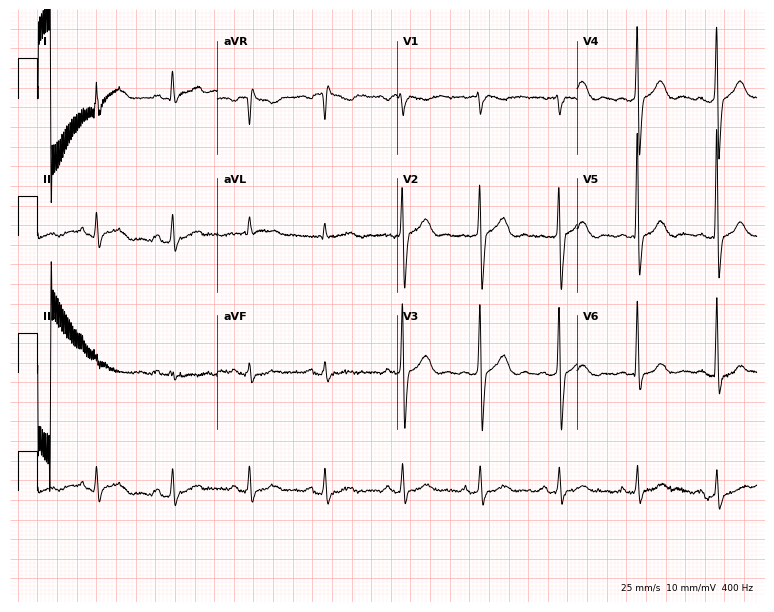
12-lead ECG from a 71-year-old male patient. Screened for six findings — first-degree AV block, right bundle branch block (RBBB), left bundle branch block (LBBB), sinus bradycardia, atrial fibrillation (AF), sinus tachycardia — none is recorded.